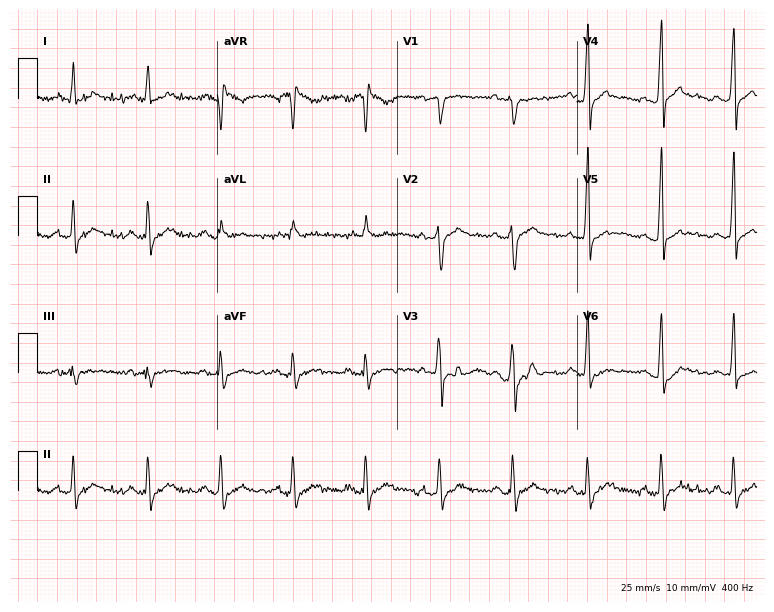
Electrocardiogram (7.3-second recording at 400 Hz), a 34-year-old male. Interpretation includes left bundle branch block (LBBB).